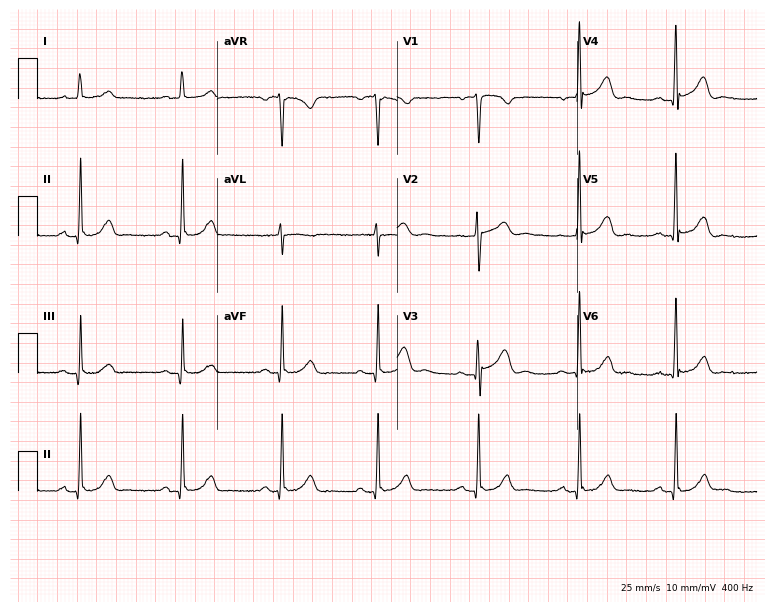
12-lead ECG from an 83-year-old male patient. Recorded interpretation: within normal limits.